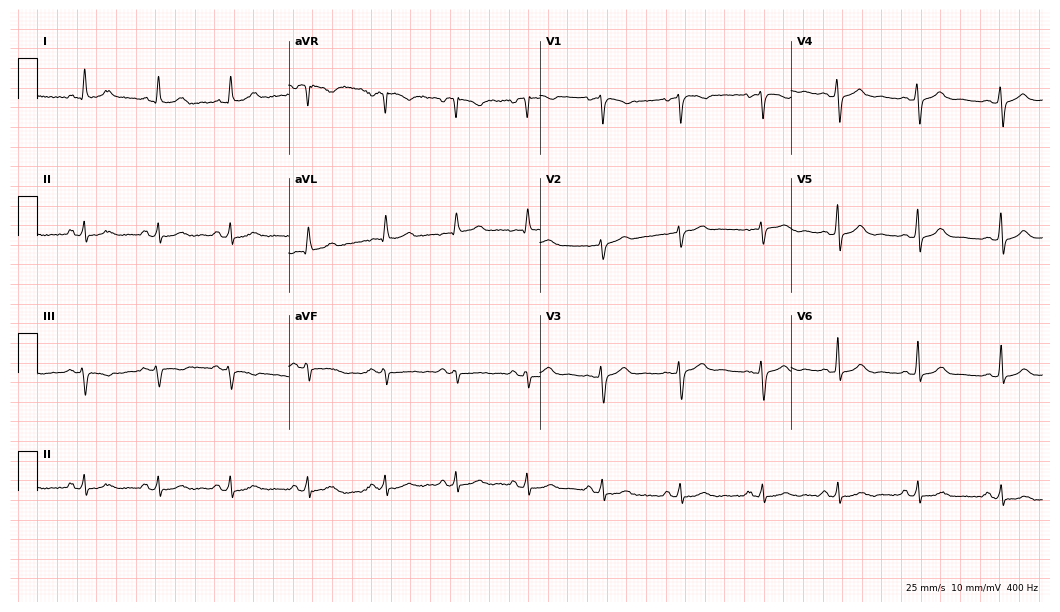
12-lead ECG (10.2-second recording at 400 Hz) from a female patient, 57 years old. Labelled as a normal ECG.